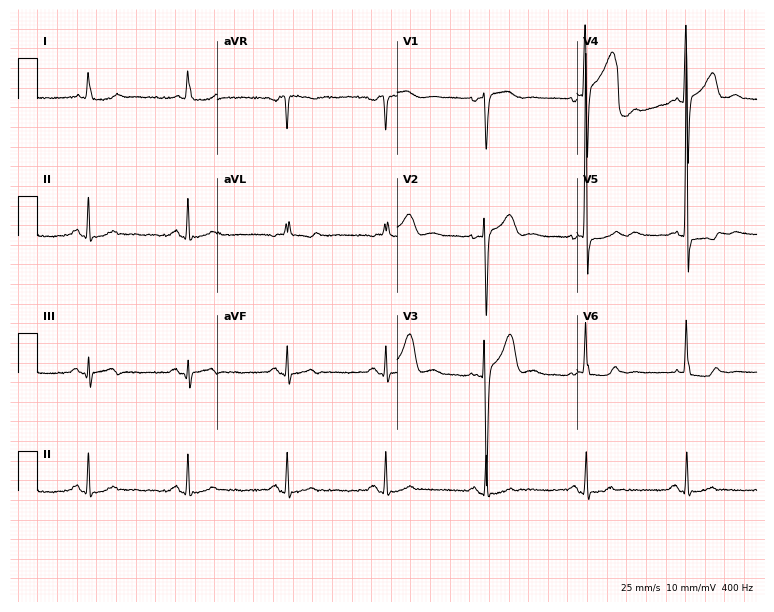
Standard 12-lead ECG recorded from a man, 78 years old. None of these six findings is recorded: first-degree AV block, right bundle branch block, left bundle branch block, sinus bradycardia, atrial fibrillation, sinus tachycardia. Only these six findings were labelled.